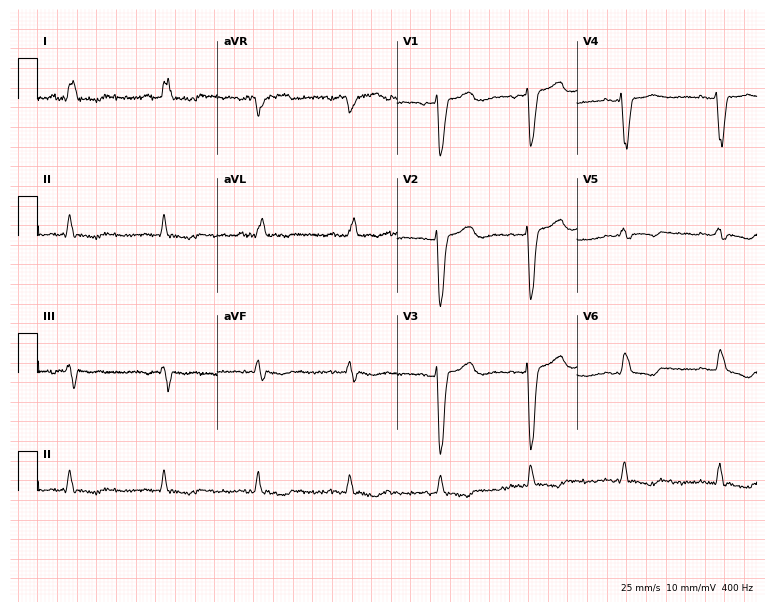
12-lead ECG from a female patient, 72 years old. Shows left bundle branch block.